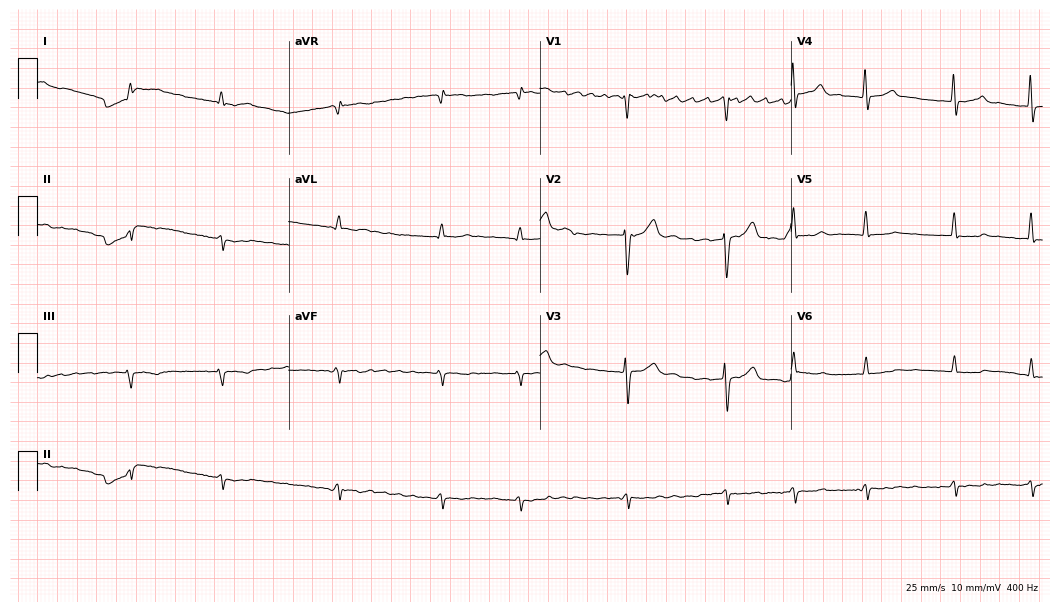
Resting 12-lead electrocardiogram. Patient: a man, 78 years old. The tracing shows atrial fibrillation.